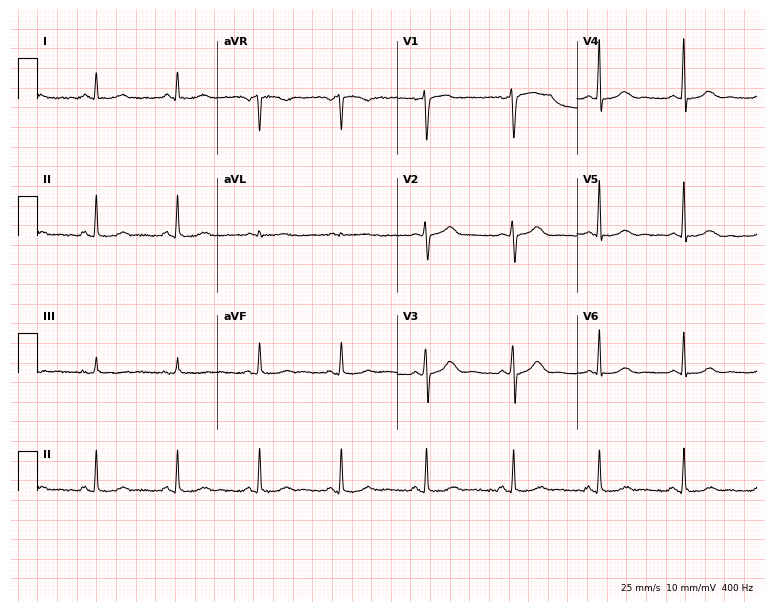
12-lead ECG (7.3-second recording at 400 Hz) from a woman, 46 years old. Labelled as a normal ECG.